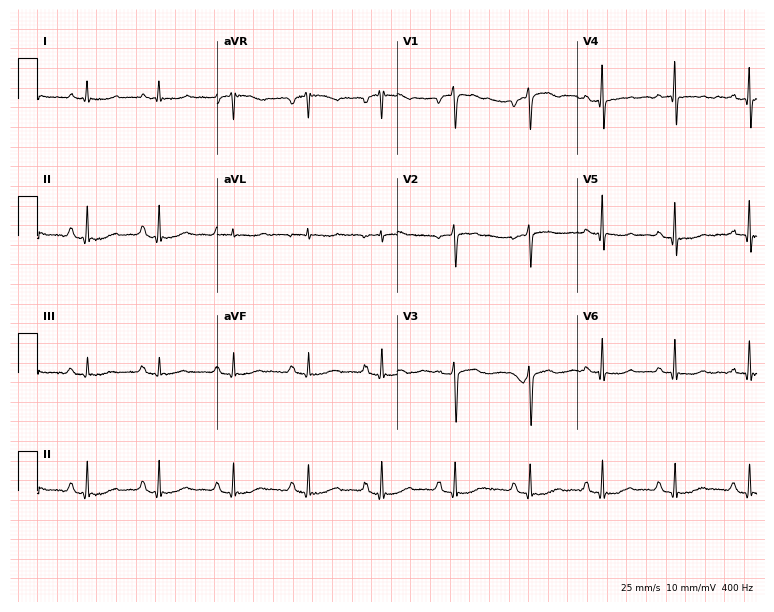
12-lead ECG from an 83-year-old woman. Recorded interpretation: within normal limits.